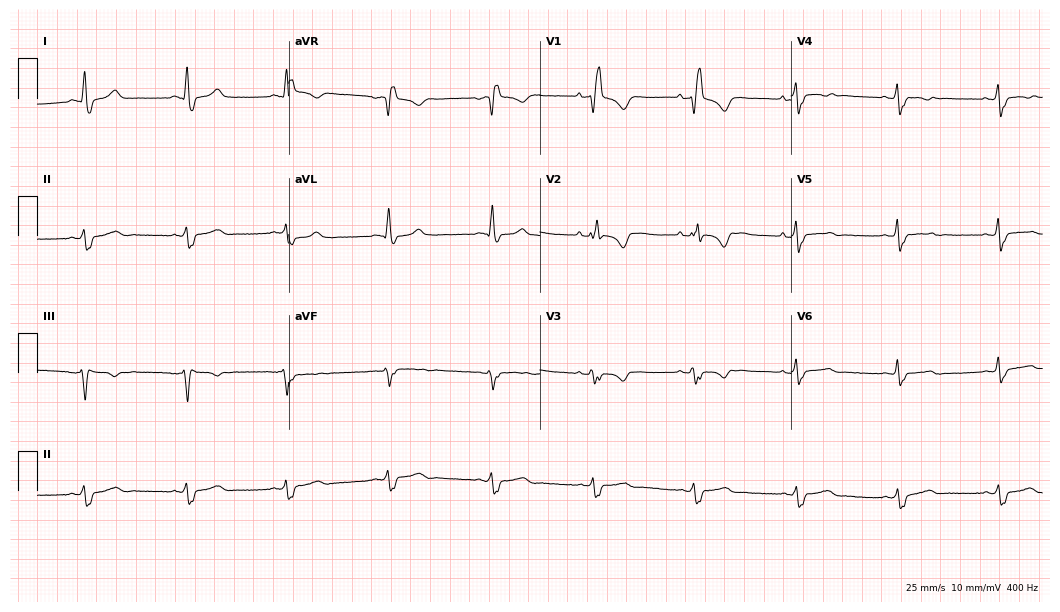
Resting 12-lead electrocardiogram. Patient: a 49-year-old female. The tracing shows right bundle branch block.